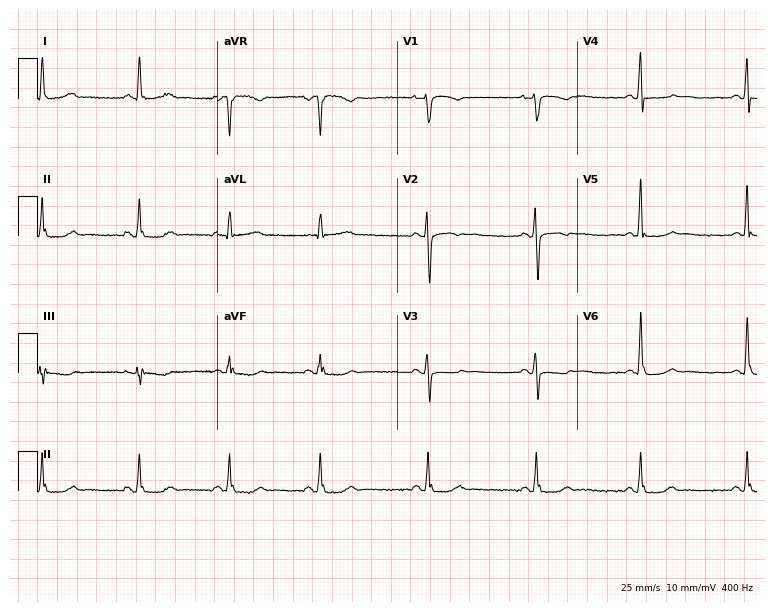
Standard 12-lead ECG recorded from a 50-year-old female patient. None of these six findings is recorded: first-degree AV block, right bundle branch block, left bundle branch block, sinus bradycardia, atrial fibrillation, sinus tachycardia.